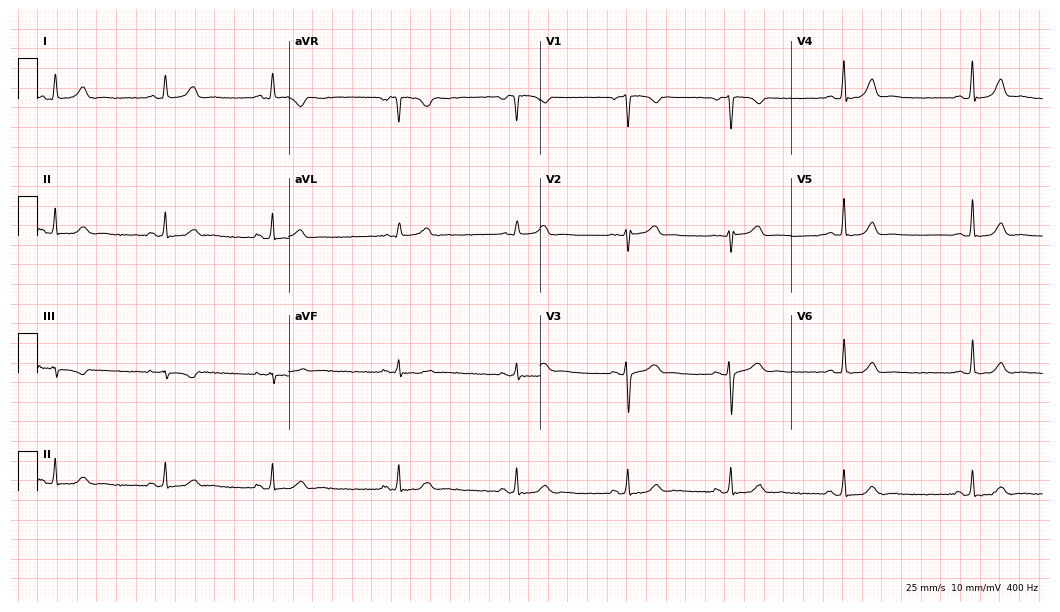
12-lead ECG (10.2-second recording at 400 Hz) from a female, 29 years old. Labelled as a normal ECG.